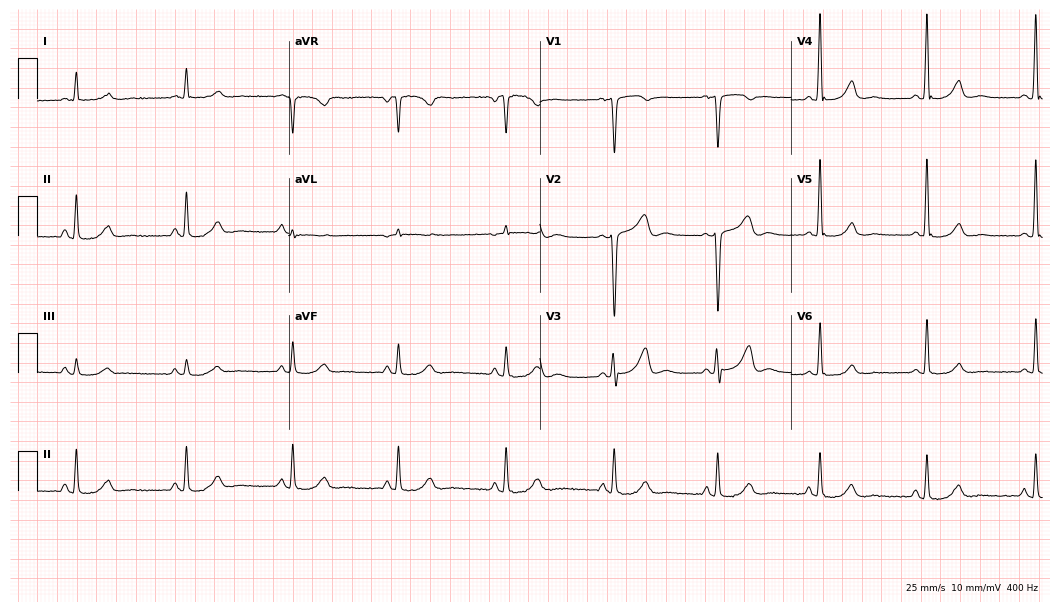
Standard 12-lead ECG recorded from a woman, 46 years old. None of these six findings is recorded: first-degree AV block, right bundle branch block (RBBB), left bundle branch block (LBBB), sinus bradycardia, atrial fibrillation (AF), sinus tachycardia. Findings outside these six are not listed.